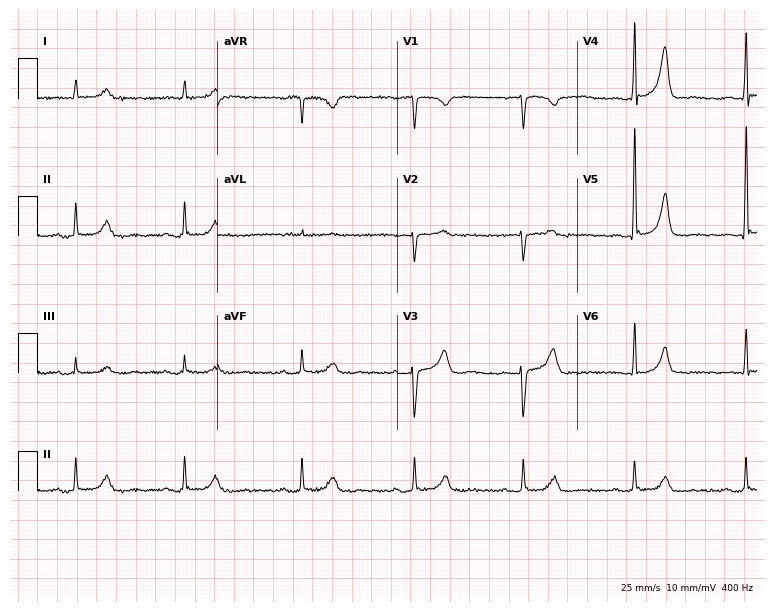
Resting 12-lead electrocardiogram (7.3-second recording at 400 Hz). Patient: a man, 83 years old. None of these six findings is recorded: first-degree AV block, right bundle branch block, left bundle branch block, sinus bradycardia, atrial fibrillation, sinus tachycardia.